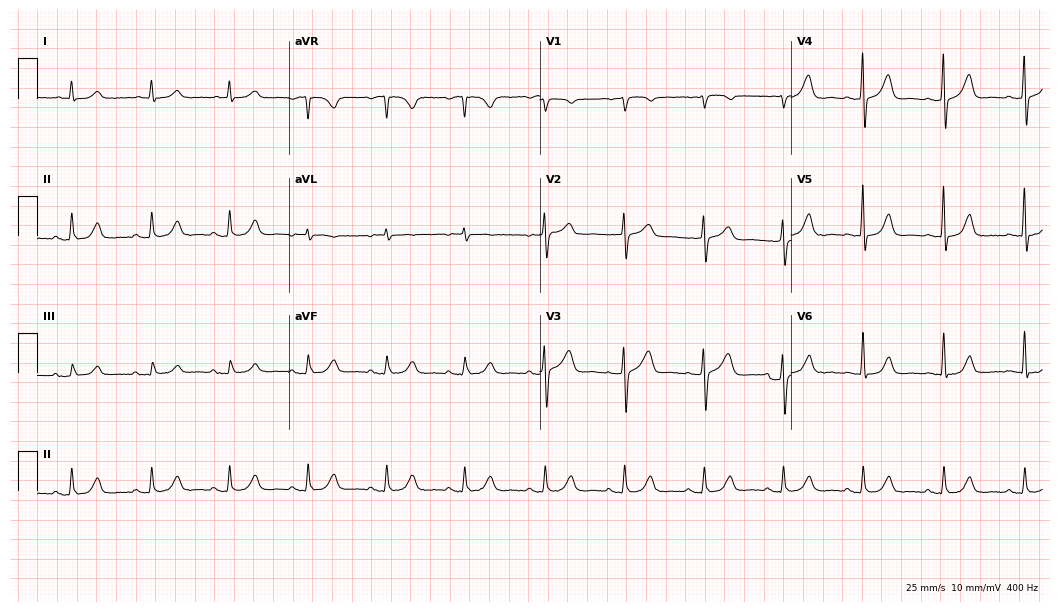
Standard 12-lead ECG recorded from a male, 84 years old. None of these six findings is recorded: first-degree AV block, right bundle branch block (RBBB), left bundle branch block (LBBB), sinus bradycardia, atrial fibrillation (AF), sinus tachycardia.